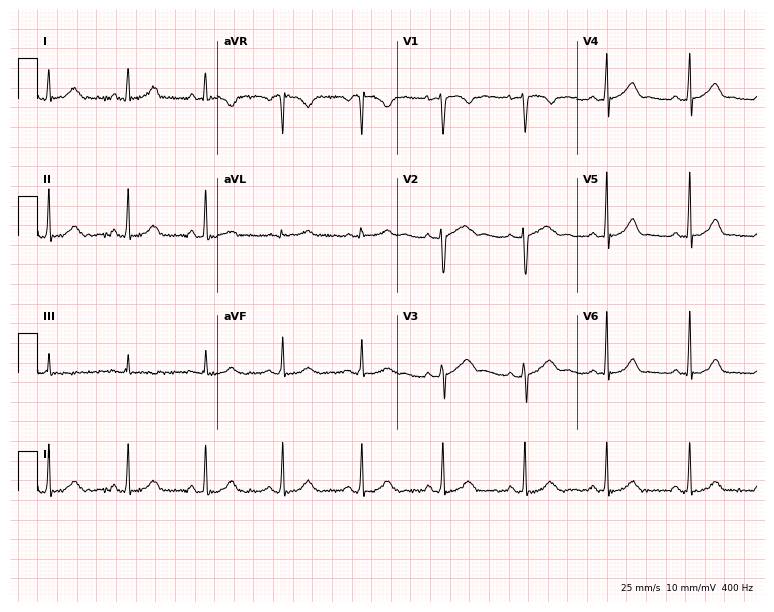
Standard 12-lead ECG recorded from a female, 37 years old. None of these six findings is recorded: first-degree AV block, right bundle branch block (RBBB), left bundle branch block (LBBB), sinus bradycardia, atrial fibrillation (AF), sinus tachycardia. Findings outside these six are not listed.